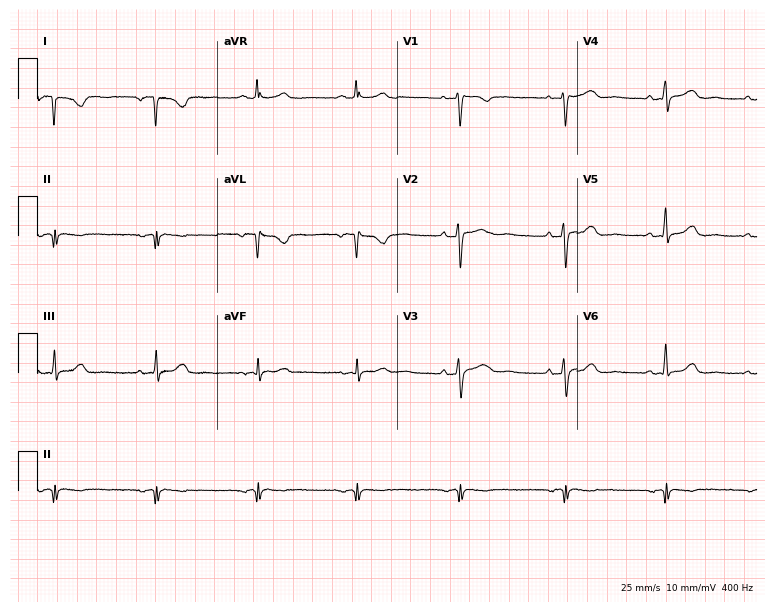
Electrocardiogram, a female, 55 years old. Of the six screened findings (first-degree AV block, right bundle branch block (RBBB), left bundle branch block (LBBB), sinus bradycardia, atrial fibrillation (AF), sinus tachycardia), none is recorded.